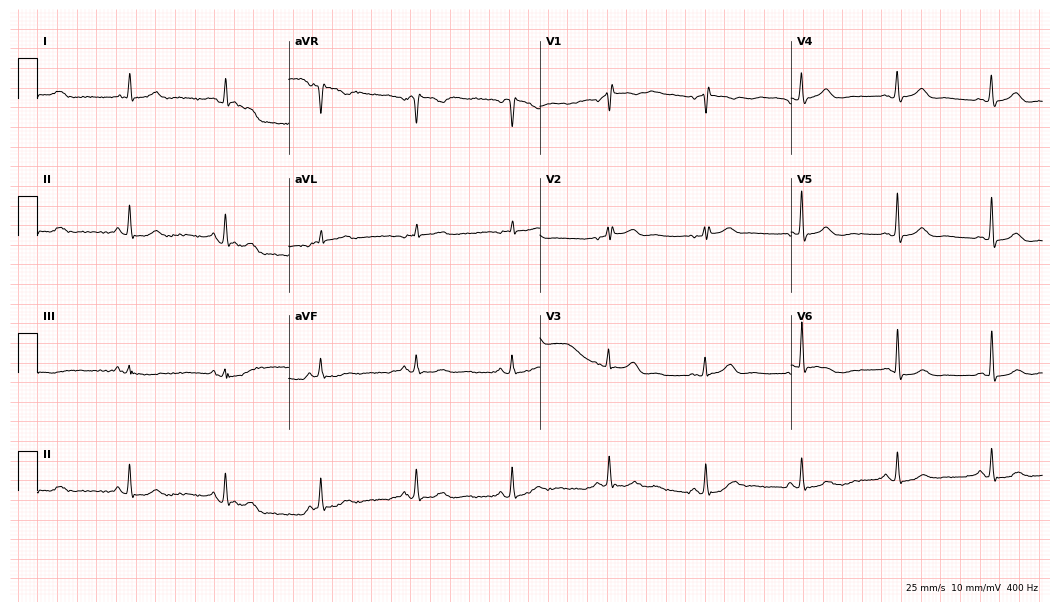
Resting 12-lead electrocardiogram. Patient: an 82-year-old female. Read as a normal ECG.